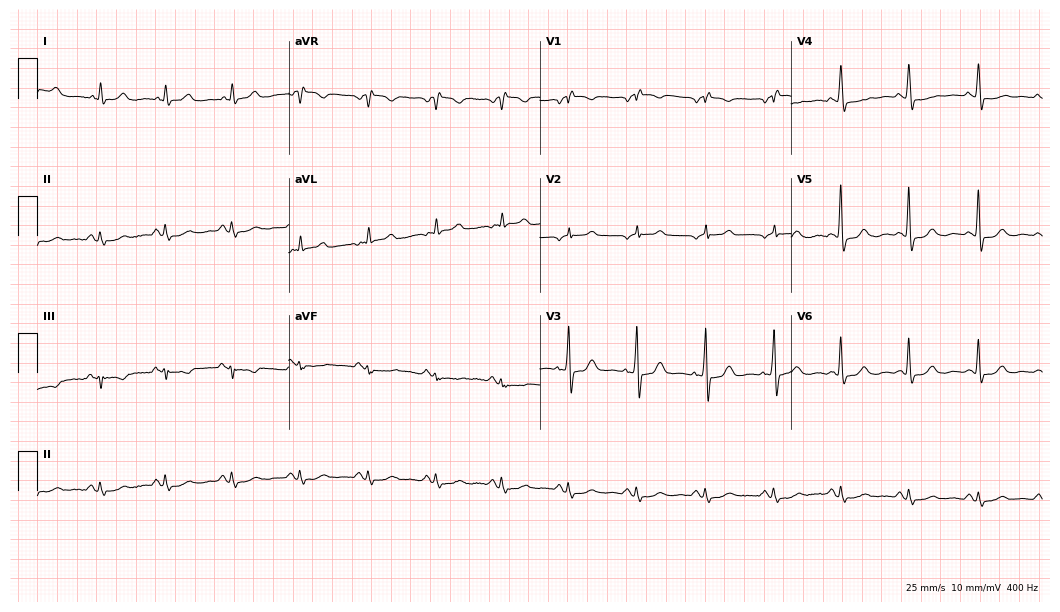
ECG (10.2-second recording at 400 Hz) — a 77-year-old female patient. Screened for six findings — first-degree AV block, right bundle branch block (RBBB), left bundle branch block (LBBB), sinus bradycardia, atrial fibrillation (AF), sinus tachycardia — none is recorded. Other findings, if any, are not listed.